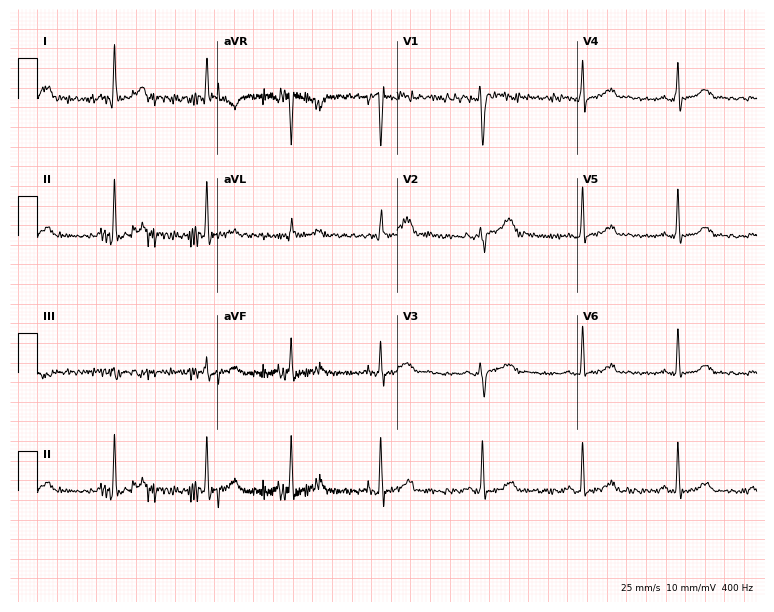
12-lead ECG from a female, 41 years old (7.3-second recording at 400 Hz). Recorded interpretation: within normal limits.